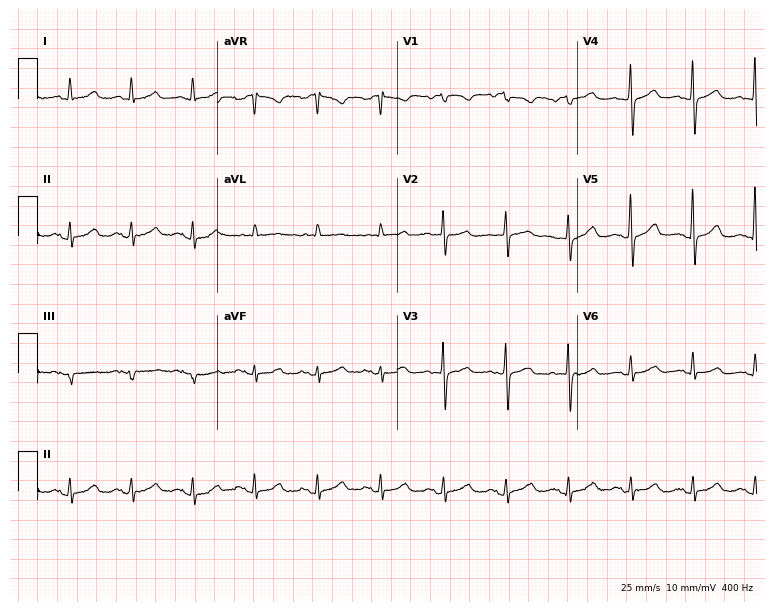
Resting 12-lead electrocardiogram. Patient: a 75-year-old female. None of these six findings is recorded: first-degree AV block, right bundle branch block, left bundle branch block, sinus bradycardia, atrial fibrillation, sinus tachycardia.